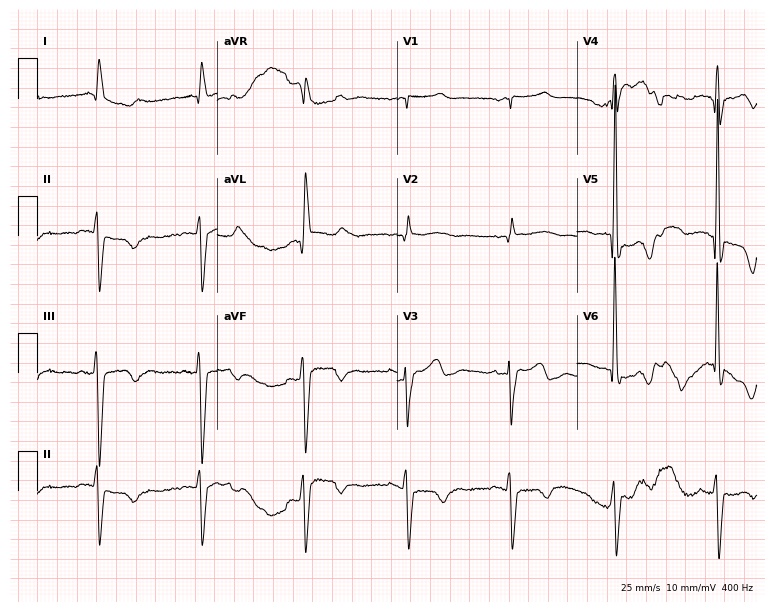
Standard 12-lead ECG recorded from an 83-year-old man (7.3-second recording at 400 Hz). None of these six findings is recorded: first-degree AV block, right bundle branch block, left bundle branch block, sinus bradycardia, atrial fibrillation, sinus tachycardia. Other findings, if any, are not listed.